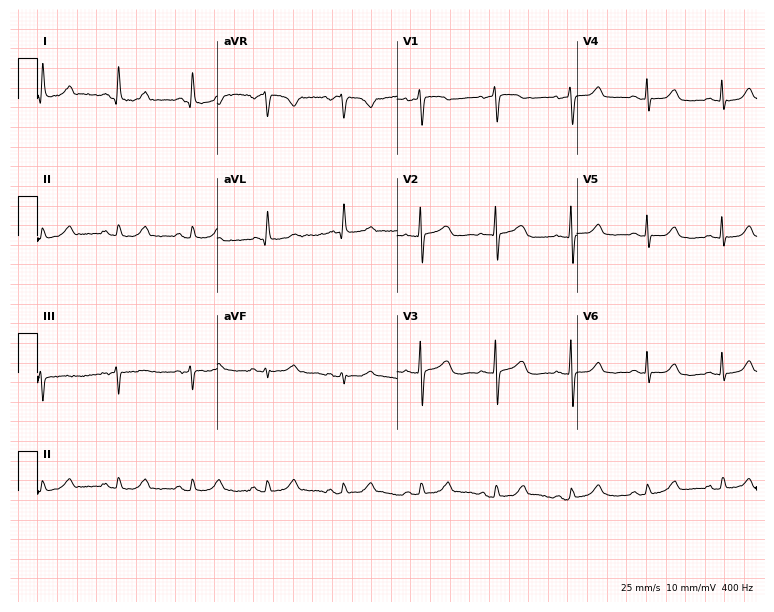
12-lead ECG (7.3-second recording at 400 Hz) from a 64-year-old woman. Screened for six findings — first-degree AV block, right bundle branch block, left bundle branch block, sinus bradycardia, atrial fibrillation, sinus tachycardia — none is recorded. Other findings, if any, are not listed.